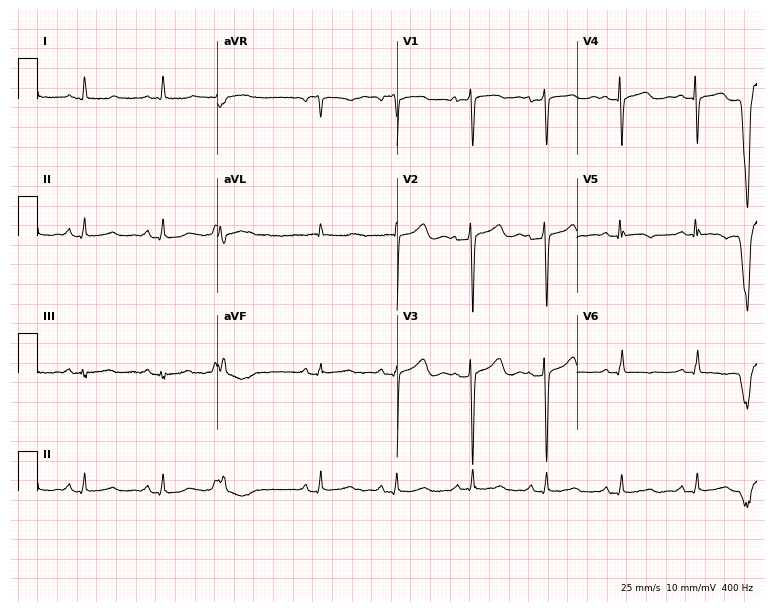
12-lead ECG (7.3-second recording at 400 Hz) from a 54-year-old female. Screened for six findings — first-degree AV block, right bundle branch block, left bundle branch block, sinus bradycardia, atrial fibrillation, sinus tachycardia — none is recorded.